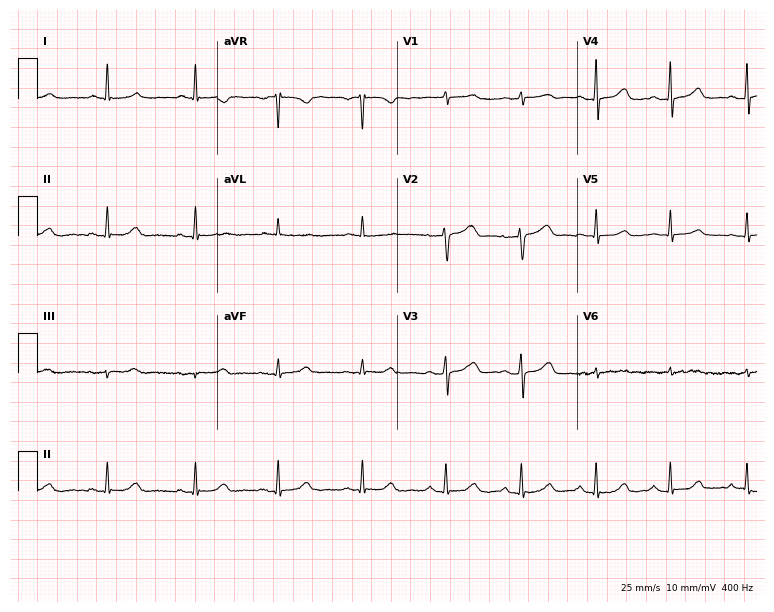
12-lead ECG from a 57-year-old woman (7.3-second recording at 400 Hz). No first-degree AV block, right bundle branch block (RBBB), left bundle branch block (LBBB), sinus bradycardia, atrial fibrillation (AF) or sinus tachycardia recorded for this tracing. Findings outside these six are not listed.